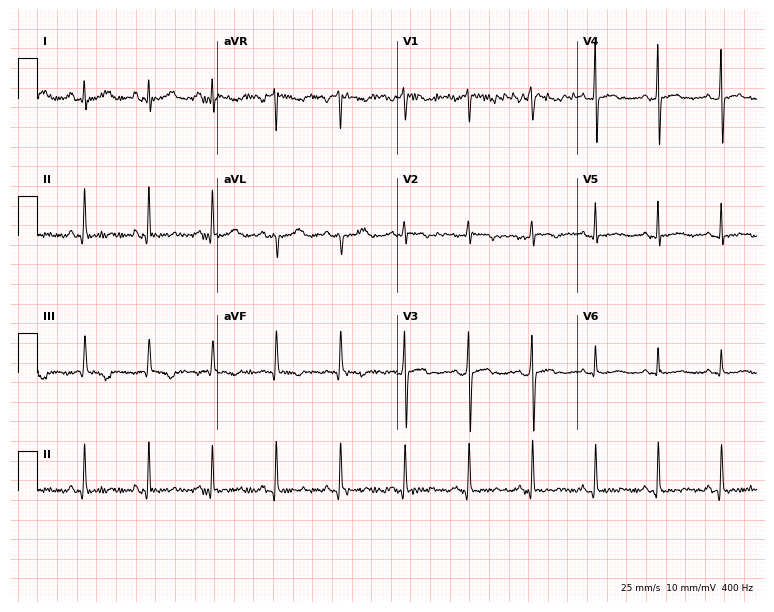
12-lead ECG from a female patient, 47 years old. No first-degree AV block, right bundle branch block (RBBB), left bundle branch block (LBBB), sinus bradycardia, atrial fibrillation (AF) or sinus tachycardia recorded for this tracing. Findings outside these six are not listed.